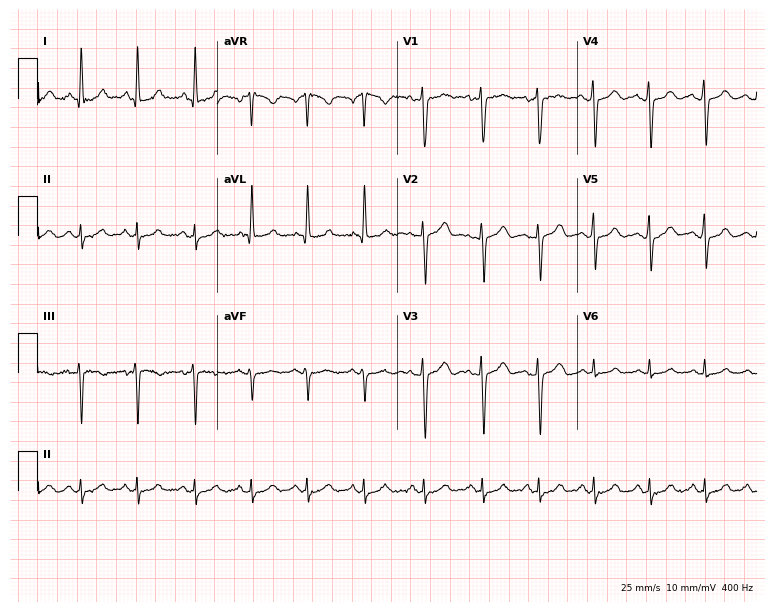
Standard 12-lead ECG recorded from a female, 45 years old (7.3-second recording at 400 Hz). The tracing shows sinus tachycardia (a sinus rate of 100 beats per minute or more).